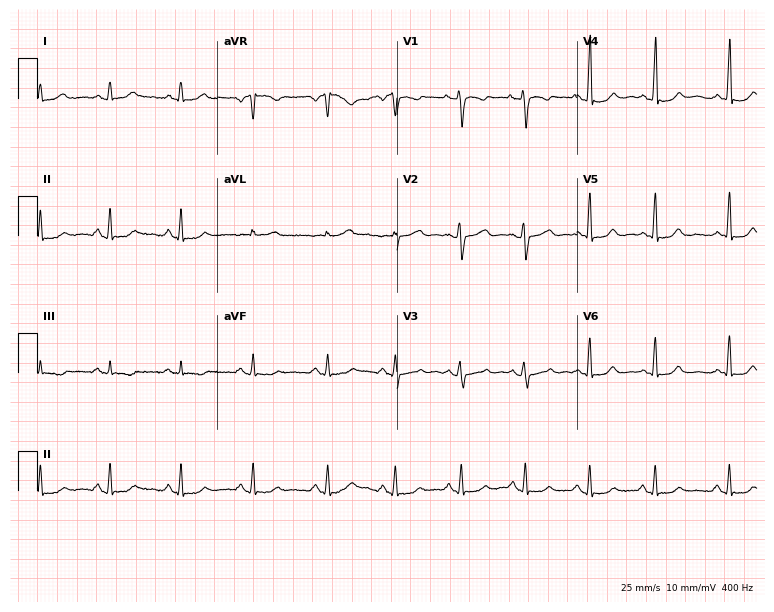
Standard 12-lead ECG recorded from a 46-year-old female patient. Read as a normal ECG.